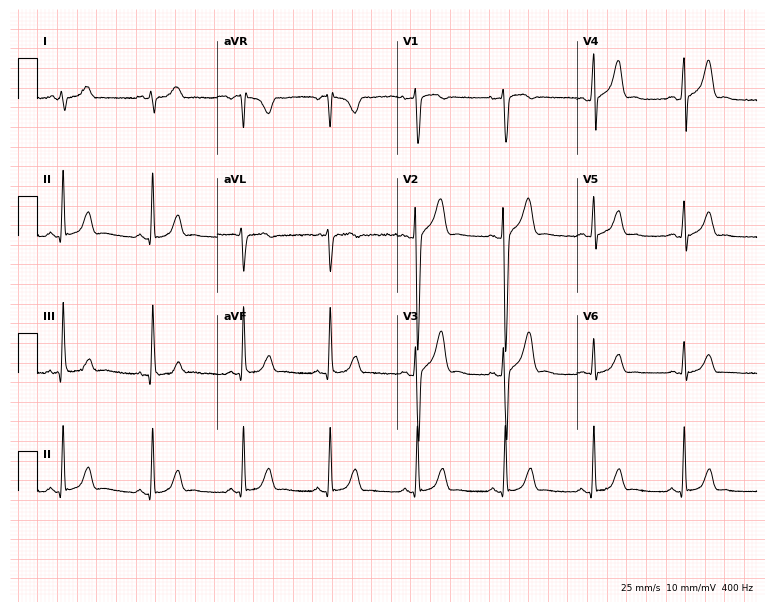
Standard 12-lead ECG recorded from a 26-year-old male. None of these six findings is recorded: first-degree AV block, right bundle branch block (RBBB), left bundle branch block (LBBB), sinus bradycardia, atrial fibrillation (AF), sinus tachycardia. Other findings, if any, are not listed.